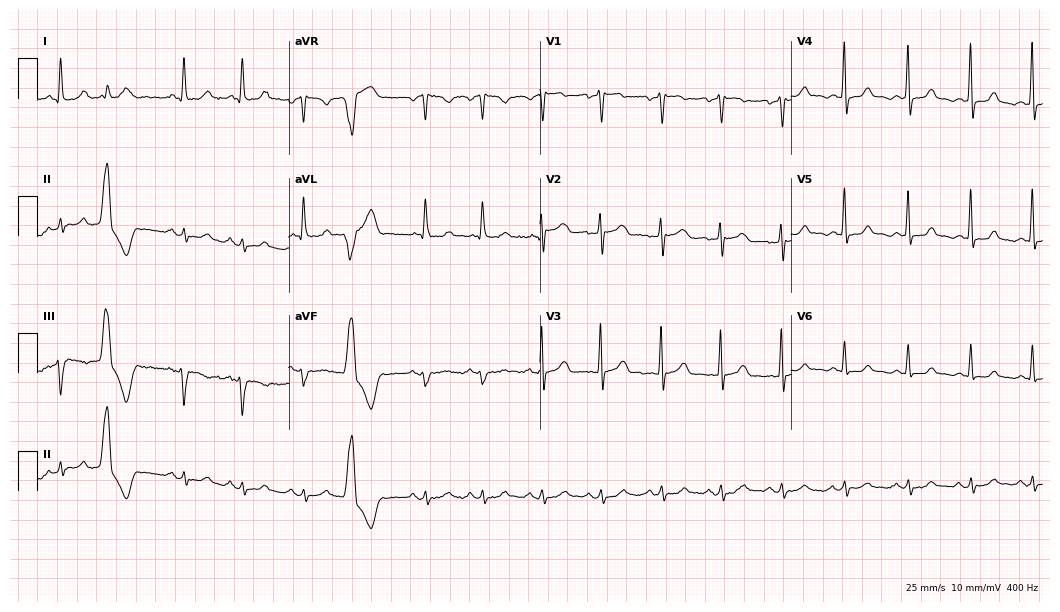
12-lead ECG from a female, 61 years old. Recorded interpretation: within normal limits.